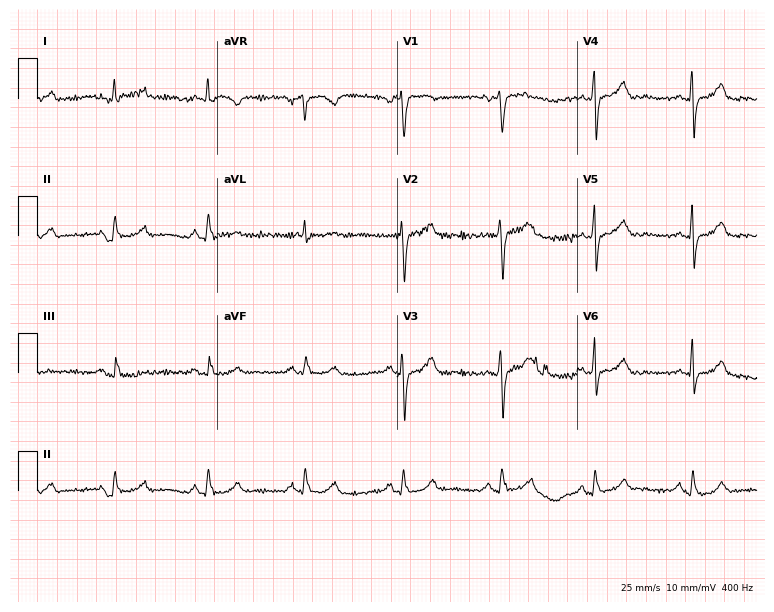
Resting 12-lead electrocardiogram (7.3-second recording at 400 Hz). Patient: a female, 61 years old. None of these six findings is recorded: first-degree AV block, right bundle branch block, left bundle branch block, sinus bradycardia, atrial fibrillation, sinus tachycardia.